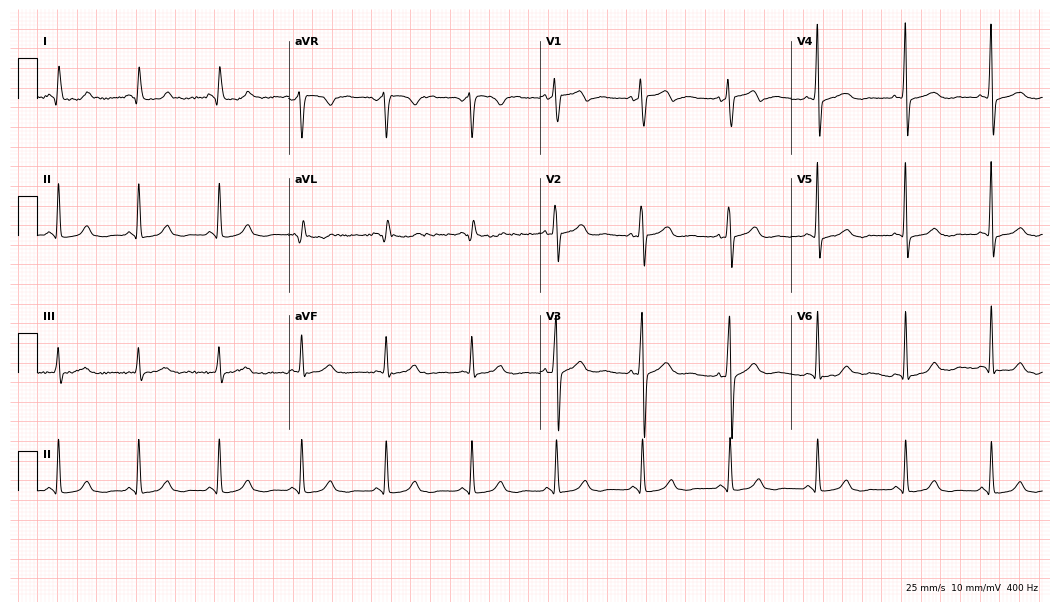
Resting 12-lead electrocardiogram. Patient: a 45-year-old female. None of these six findings is recorded: first-degree AV block, right bundle branch block (RBBB), left bundle branch block (LBBB), sinus bradycardia, atrial fibrillation (AF), sinus tachycardia.